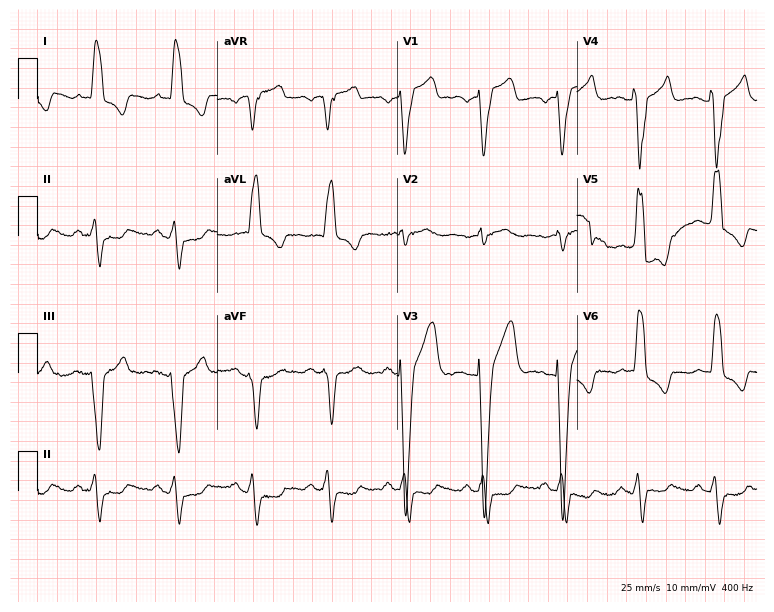
Resting 12-lead electrocardiogram (7.3-second recording at 400 Hz). Patient: a 46-year-old man. The tracing shows left bundle branch block.